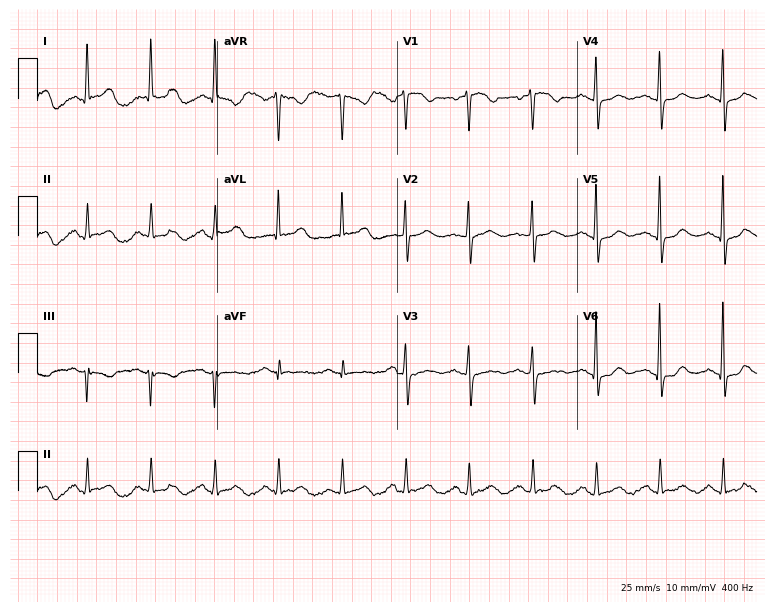
Standard 12-lead ECG recorded from a woman, 80 years old (7.3-second recording at 400 Hz). Read as a normal ECG.